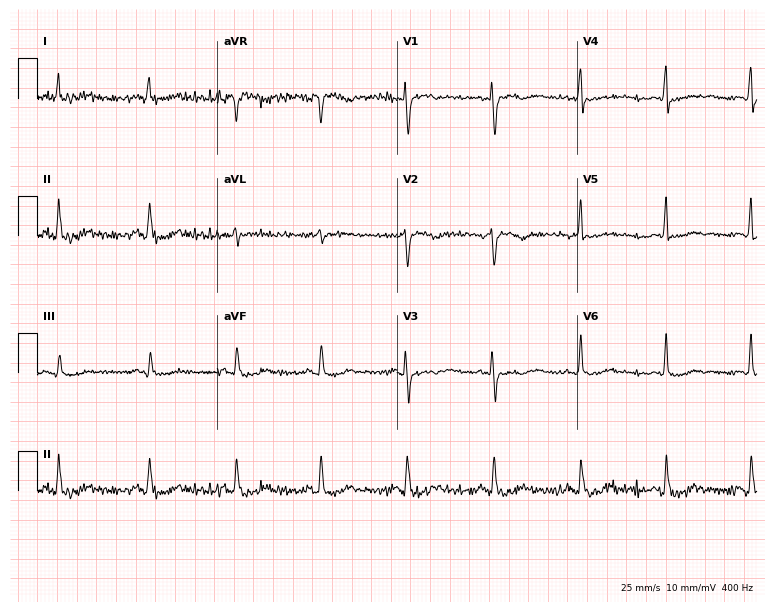
12-lead ECG from a 40-year-old female (7.3-second recording at 400 Hz). Recorded interpretation: within normal limits.